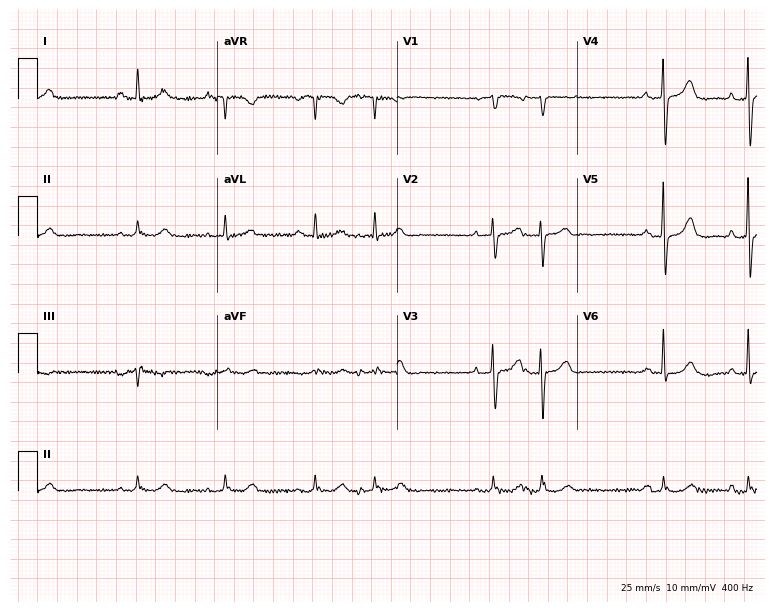
ECG — a 77-year-old female. Screened for six findings — first-degree AV block, right bundle branch block (RBBB), left bundle branch block (LBBB), sinus bradycardia, atrial fibrillation (AF), sinus tachycardia — none is recorded.